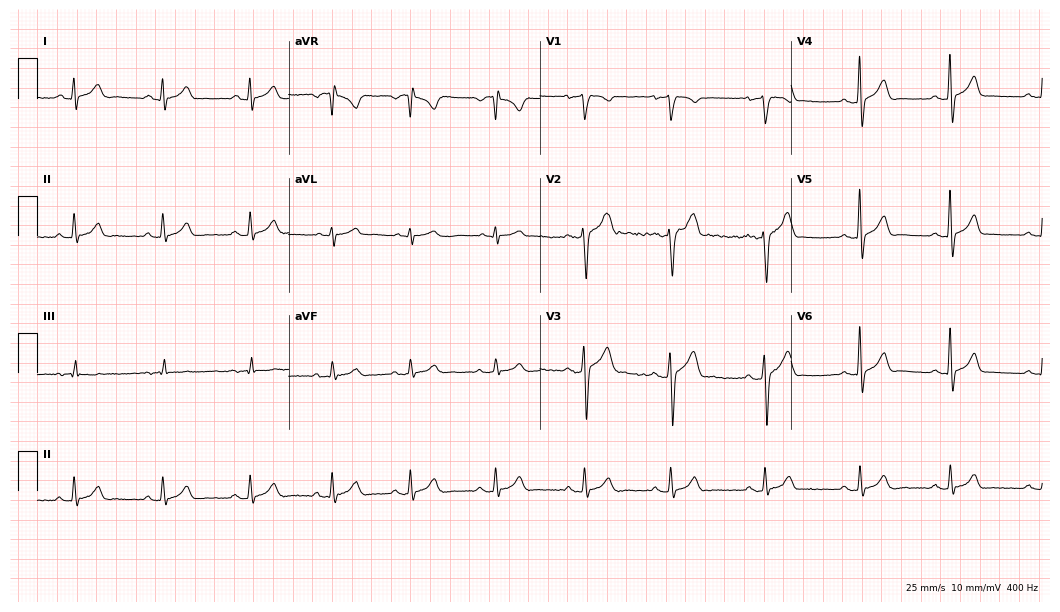
Standard 12-lead ECG recorded from a male, 26 years old. Read as a normal ECG.